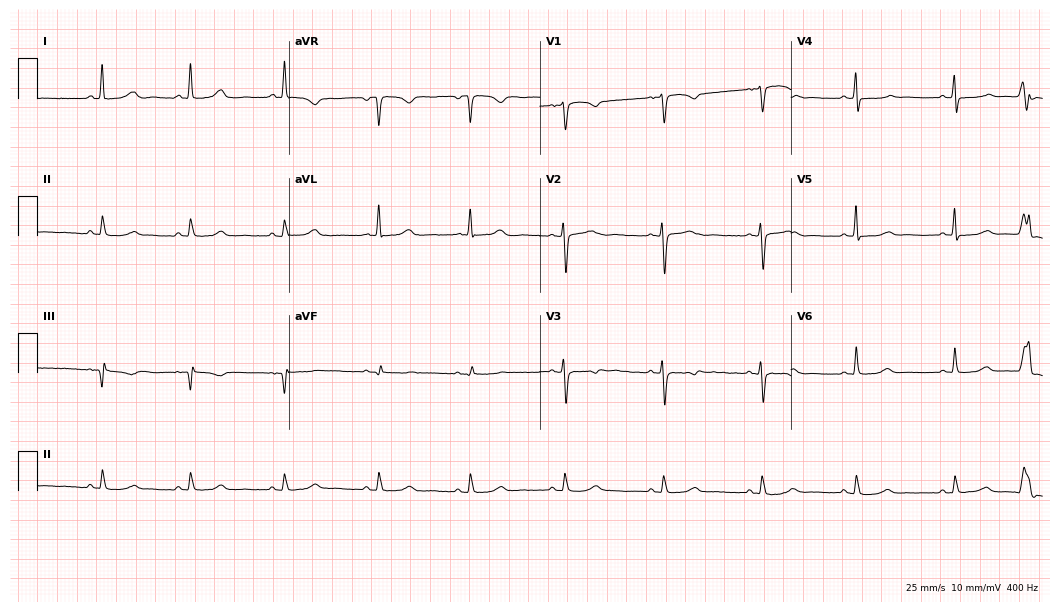
Electrocardiogram (10.2-second recording at 400 Hz), a female, 52 years old. Of the six screened findings (first-degree AV block, right bundle branch block, left bundle branch block, sinus bradycardia, atrial fibrillation, sinus tachycardia), none is recorded.